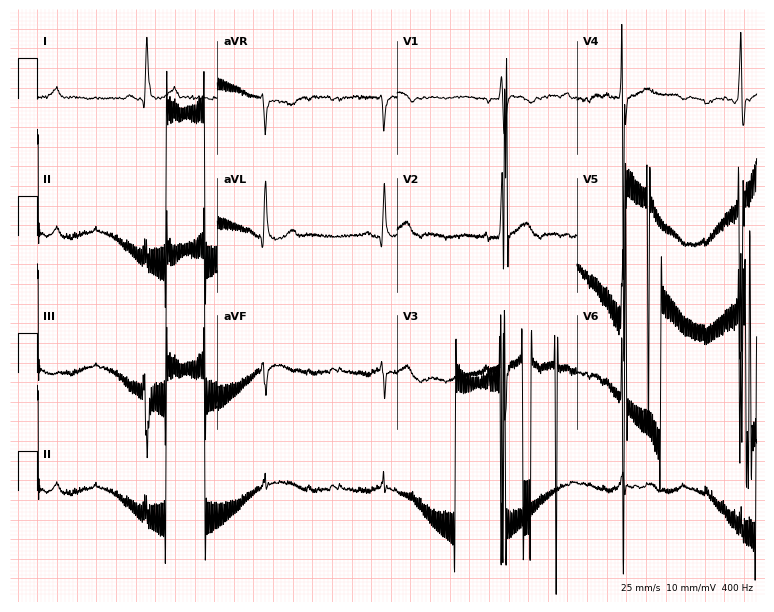
Resting 12-lead electrocardiogram. Patient: a male, 66 years old. None of these six findings is recorded: first-degree AV block, right bundle branch block, left bundle branch block, sinus bradycardia, atrial fibrillation, sinus tachycardia.